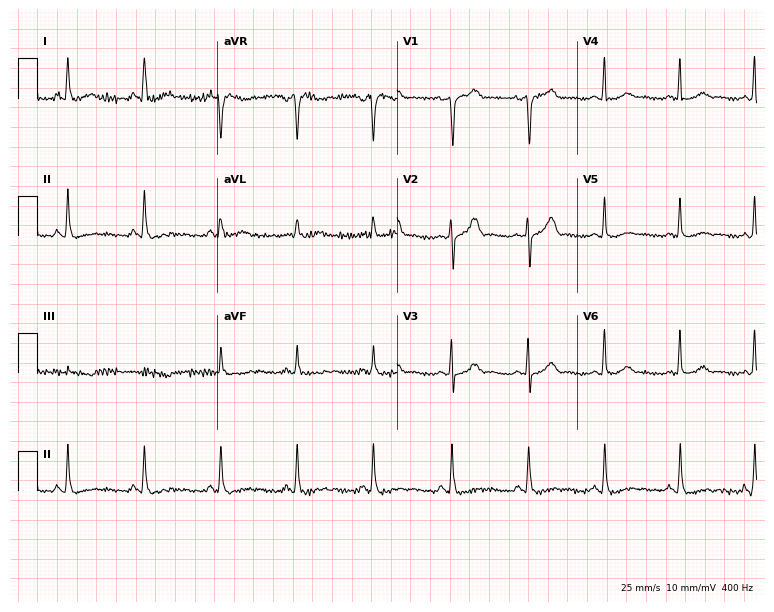
12-lead ECG from a 62-year-old woman. Labelled as a normal ECG.